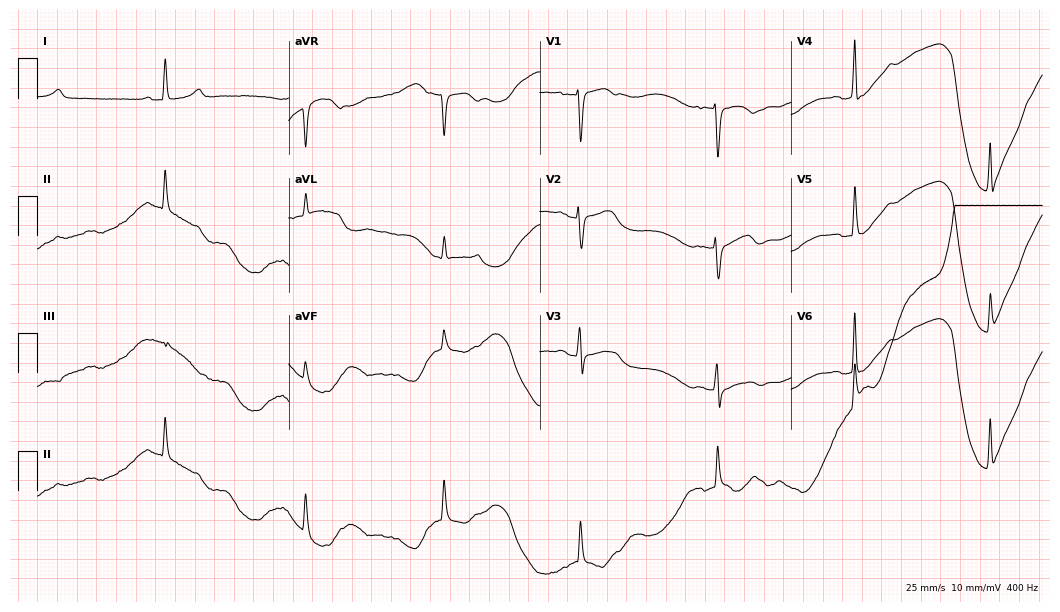
12-lead ECG from a 56-year-old female (10.2-second recording at 400 Hz). No first-degree AV block, right bundle branch block (RBBB), left bundle branch block (LBBB), sinus bradycardia, atrial fibrillation (AF) or sinus tachycardia recorded for this tracing. Findings outside these six are not listed.